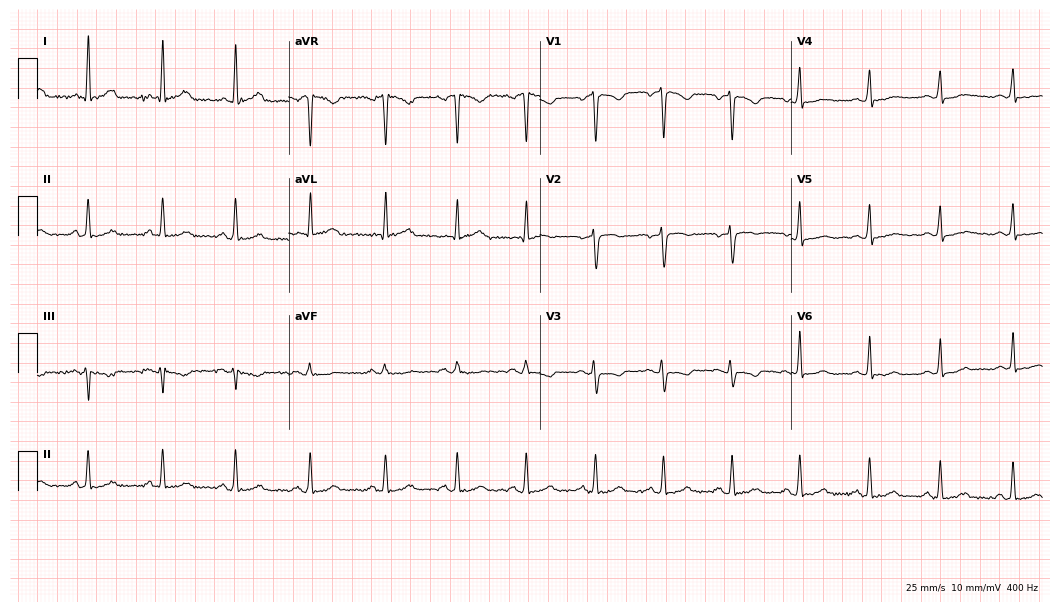
12-lead ECG (10.2-second recording at 400 Hz) from a 32-year-old woman. Labelled as a normal ECG.